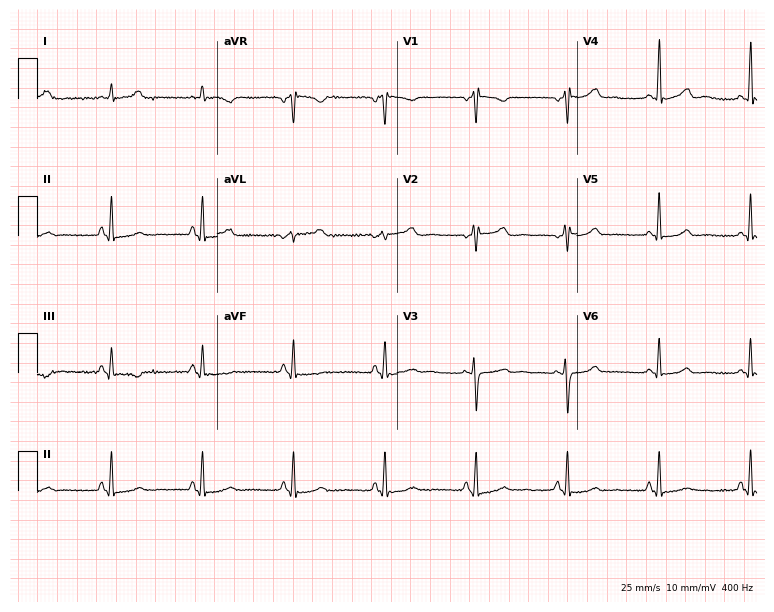
Electrocardiogram (7.3-second recording at 400 Hz), a female patient, 27 years old. Of the six screened findings (first-degree AV block, right bundle branch block (RBBB), left bundle branch block (LBBB), sinus bradycardia, atrial fibrillation (AF), sinus tachycardia), none is recorded.